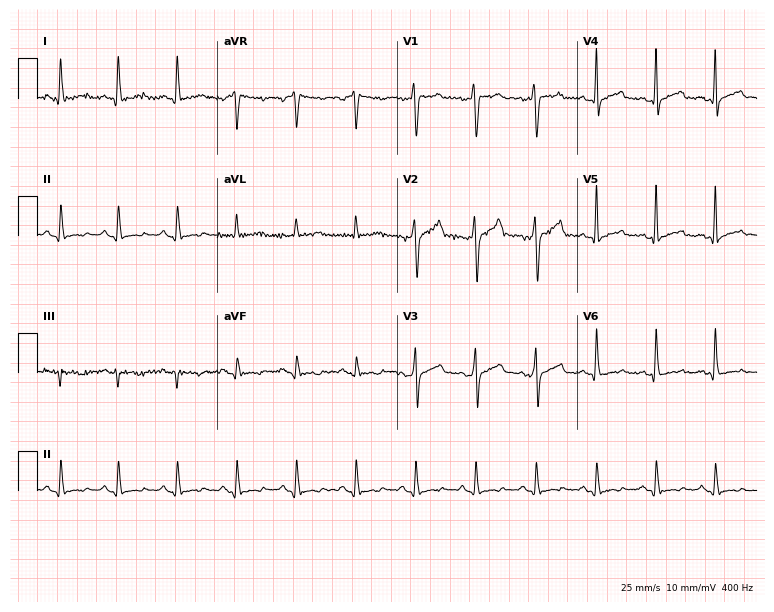
Electrocardiogram (7.3-second recording at 400 Hz), a 43-year-old male patient. Of the six screened findings (first-degree AV block, right bundle branch block, left bundle branch block, sinus bradycardia, atrial fibrillation, sinus tachycardia), none is recorded. Findings outside these six are not listed.